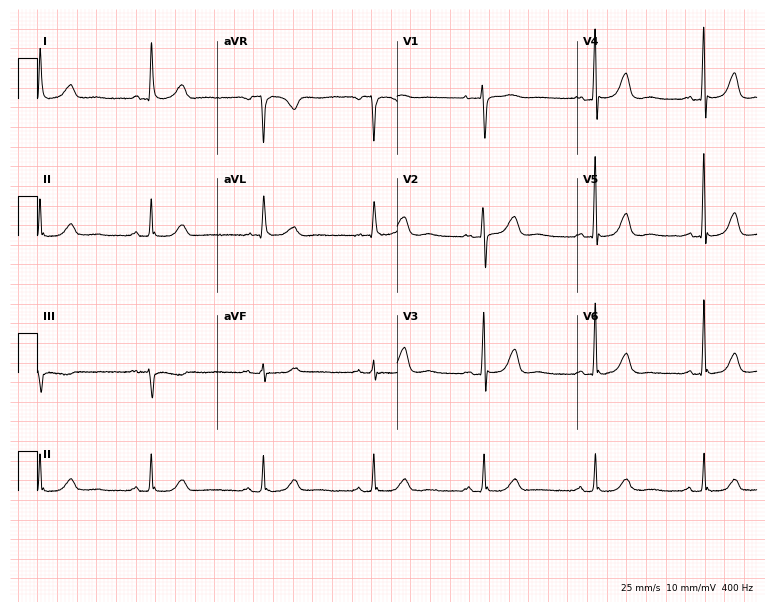
12-lead ECG (7.3-second recording at 400 Hz) from a 79-year-old female patient. Screened for six findings — first-degree AV block, right bundle branch block (RBBB), left bundle branch block (LBBB), sinus bradycardia, atrial fibrillation (AF), sinus tachycardia — none is recorded. Other findings, if any, are not listed.